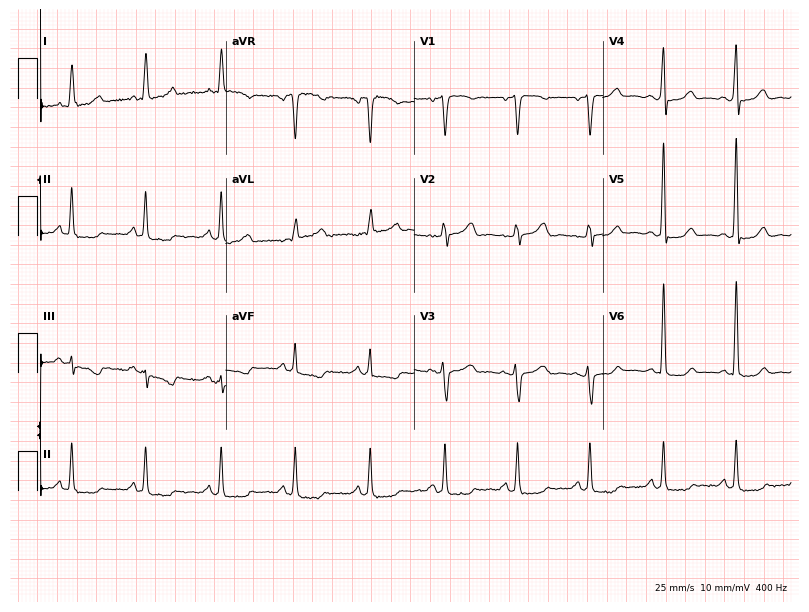
ECG — a female patient, 51 years old. Screened for six findings — first-degree AV block, right bundle branch block (RBBB), left bundle branch block (LBBB), sinus bradycardia, atrial fibrillation (AF), sinus tachycardia — none is recorded.